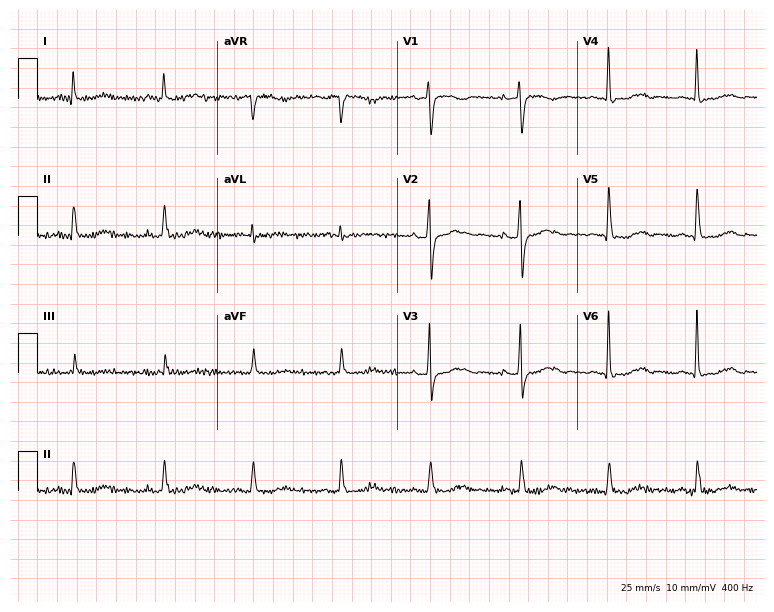
Resting 12-lead electrocardiogram (7.3-second recording at 400 Hz). Patient: a female, 63 years old. None of these six findings is recorded: first-degree AV block, right bundle branch block, left bundle branch block, sinus bradycardia, atrial fibrillation, sinus tachycardia.